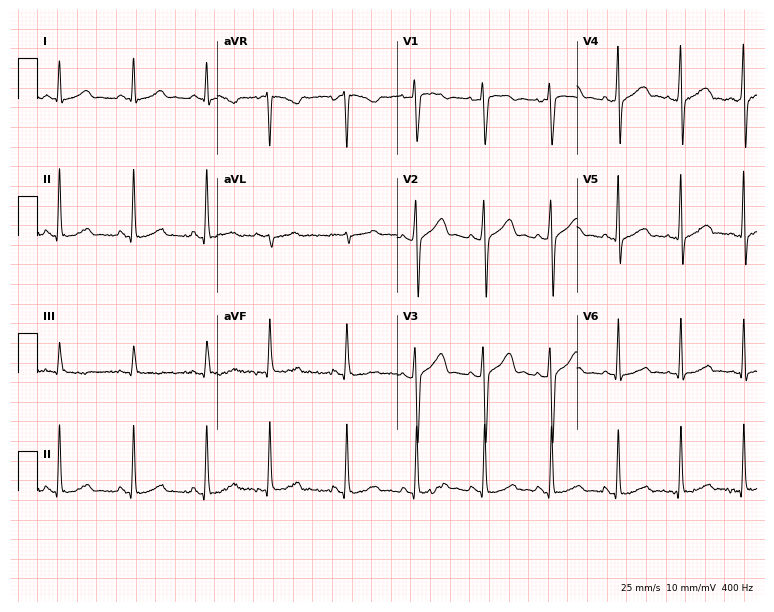
Resting 12-lead electrocardiogram (7.3-second recording at 400 Hz). Patient: a man, 25 years old. None of these six findings is recorded: first-degree AV block, right bundle branch block, left bundle branch block, sinus bradycardia, atrial fibrillation, sinus tachycardia.